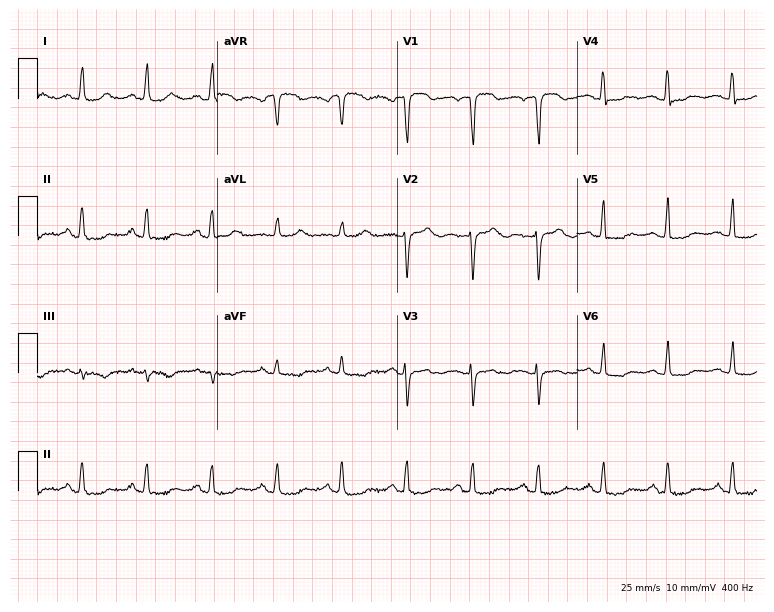
Electrocardiogram, a 53-year-old female patient. Of the six screened findings (first-degree AV block, right bundle branch block (RBBB), left bundle branch block (LBBB), sinus bradycardia, atrial fibrillation (AF), sinus tachycardia), none is recorded. Only these six findings were labelled.